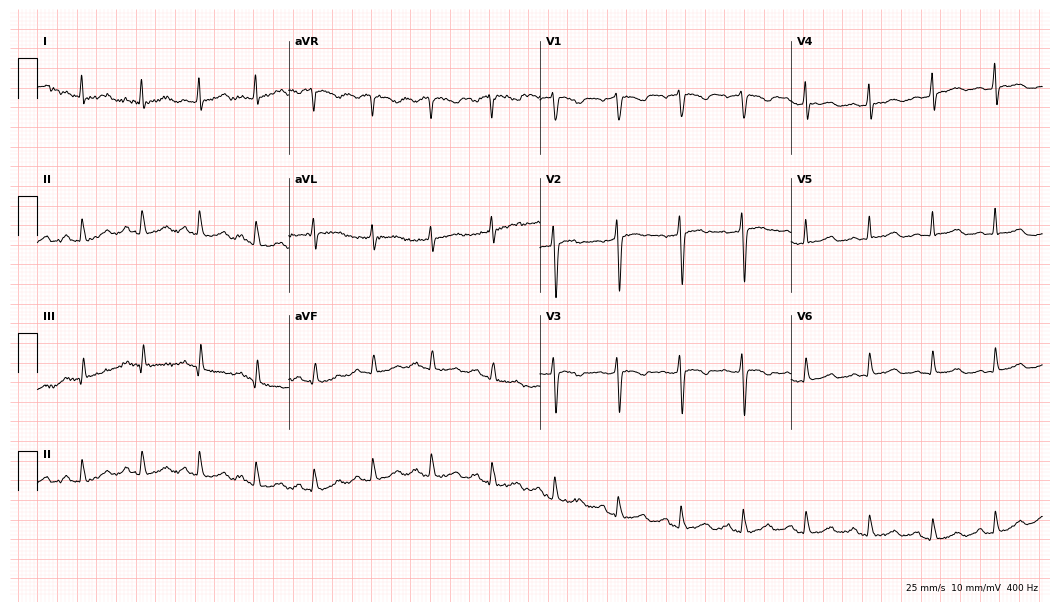
12-lead ECG from a 32-year-old female patient. No first-degree AV block, right bundle branch block (RBBB), left bundle branch block (LBBB), sinus bradycardia, atrial fibrillation (AF) or sinus tachycardia recorded for this tracing.